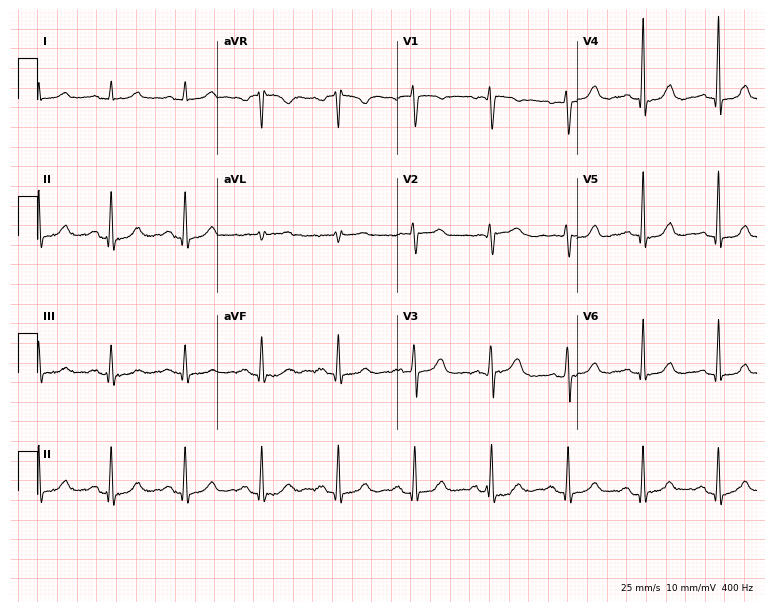
Resting 12-lead electrocardiogram. Patient: a female, 62 years old. Read as a normal ECG.